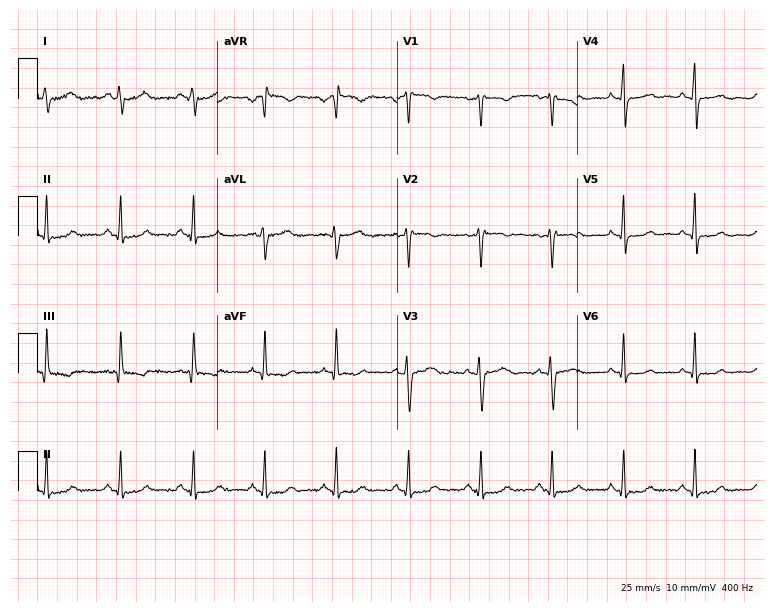
ECG — a female, 53 years old. Screened for six findings — first-degree AV block, right bundle branch block (RBBB), left bundle branch block (LBBB), sinus bradycardia, atrial fibrillation (AF), sinus tachycardia — none is recorded.